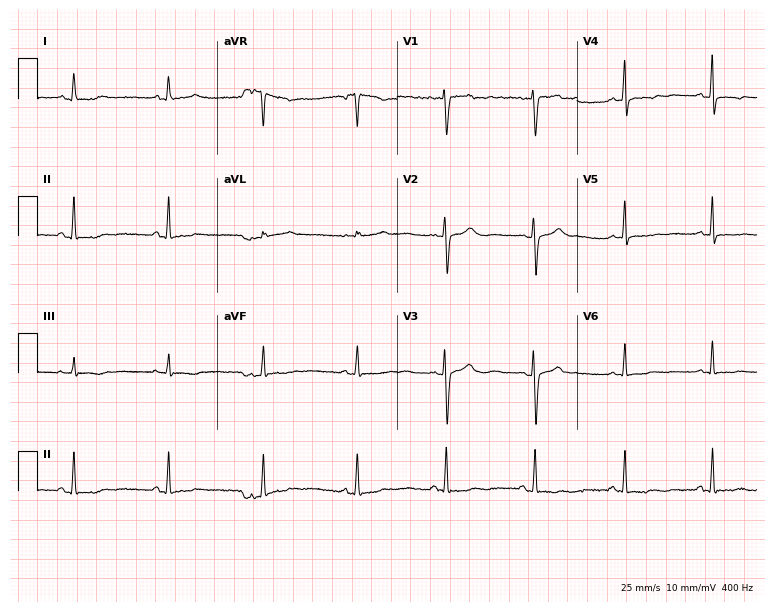
Standard 12-lead ECG recorded from a 42-year-old female patient (7.3-second recording at 400 Hz). None of these six findings is recorded: first-degree AV block, right bundle branch block, left bundle branch block, sinus bradycardia, atrial fibrillation, sinus tachycardia. Other findings, if any, are not listed.